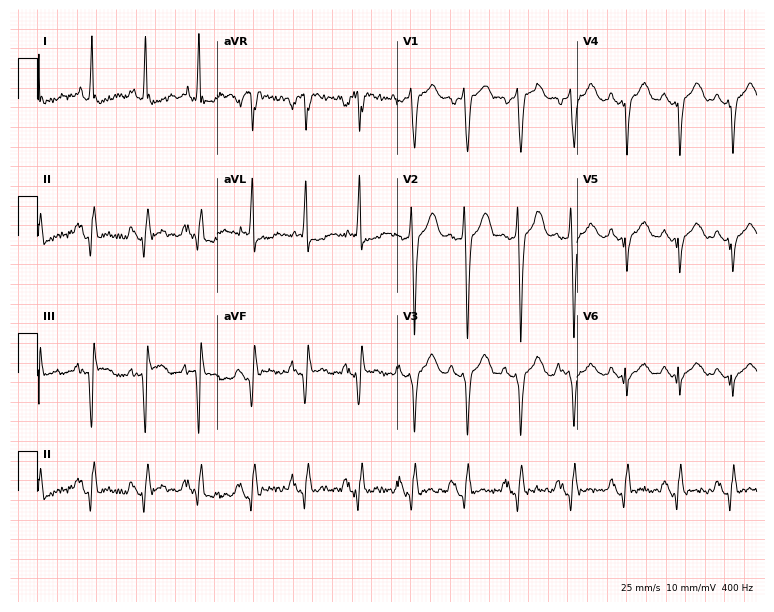
12-lead ECG (7.3-second recording at 400 Hz) from a 48-year-old female patient. Findings include sinus tachycardia (a sinus rate of 100 beats per minute or more).